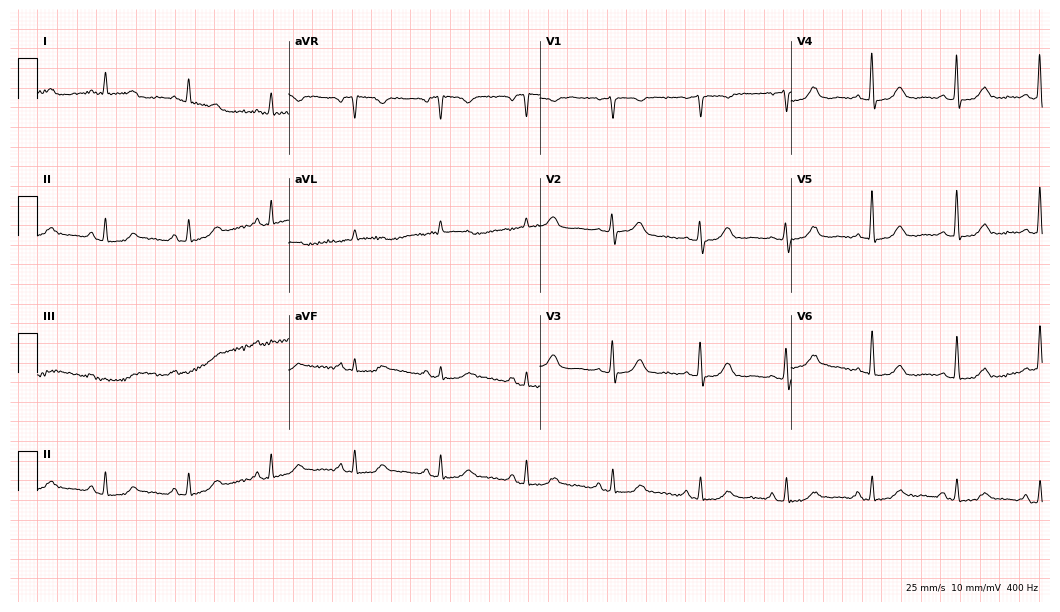
Standard 12-lead ECG recorded from a 75-year-old woman. Read as a normal ECG.